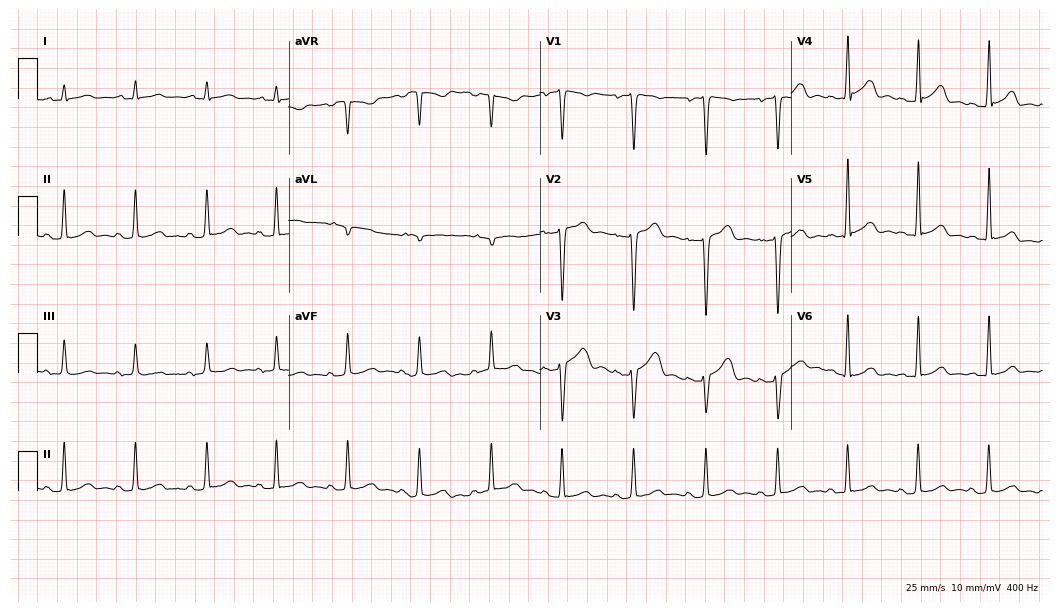
12-lead ECG from a 42-year-old male patient. Recorded interpretation: within normal limits.